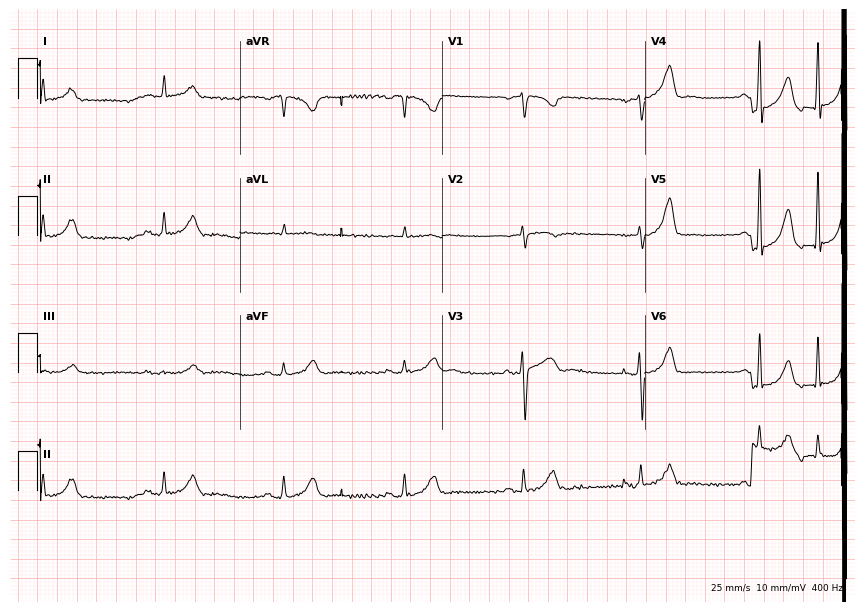
Electrocardiogram (8.3-second recording at 400 Hz), a male patient, 84 years old. Of the six screened findings (first-degree AV block, right bundle branch block, left bundle branch block, sinus bradycardia, atrial fibrillation, sinus tachycardia), none is recorded. Only these six findings were labelled.